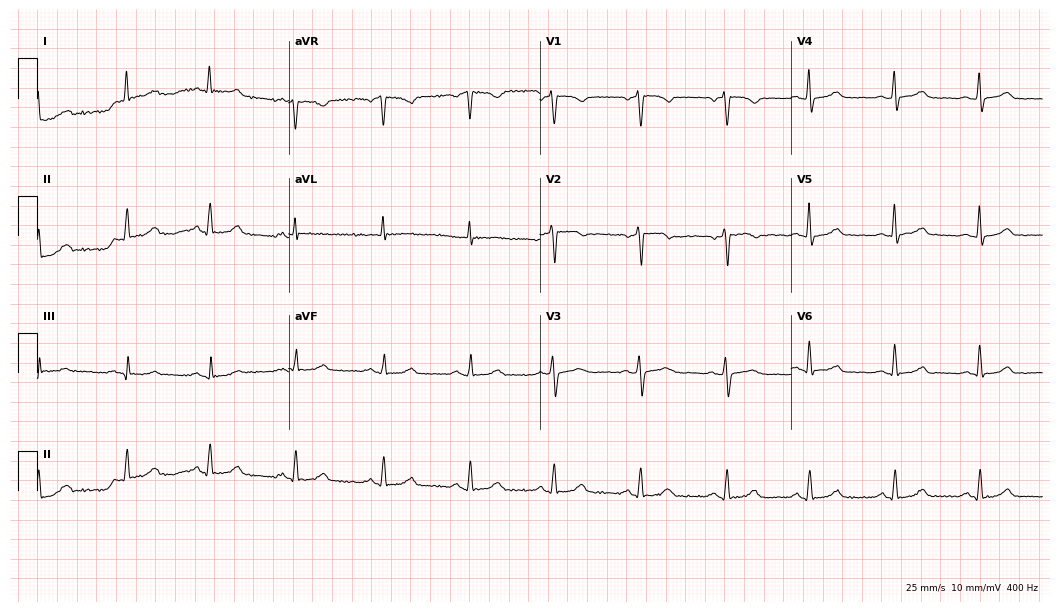
Standard 12-lead ECG recorded from a 52-year-old female patient (10.2-second recording at 400 Hz). Read as a normal ECG.